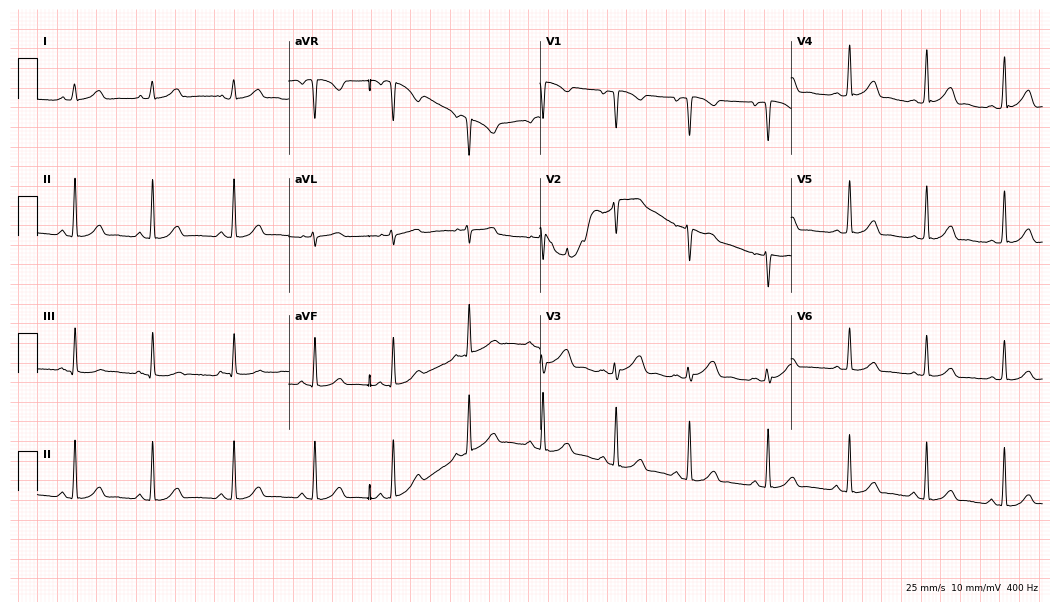
12-lead ECG (10.2-second recording at 400 Hz) from a 31-year-old woman. Screened for six findings — first-degree AV block, right bundle branch block, left bundle branch block, sinus bradycardia, atrial fibrillation, sinus tachycardia — none is recorded. Findings outside these six are not listed.